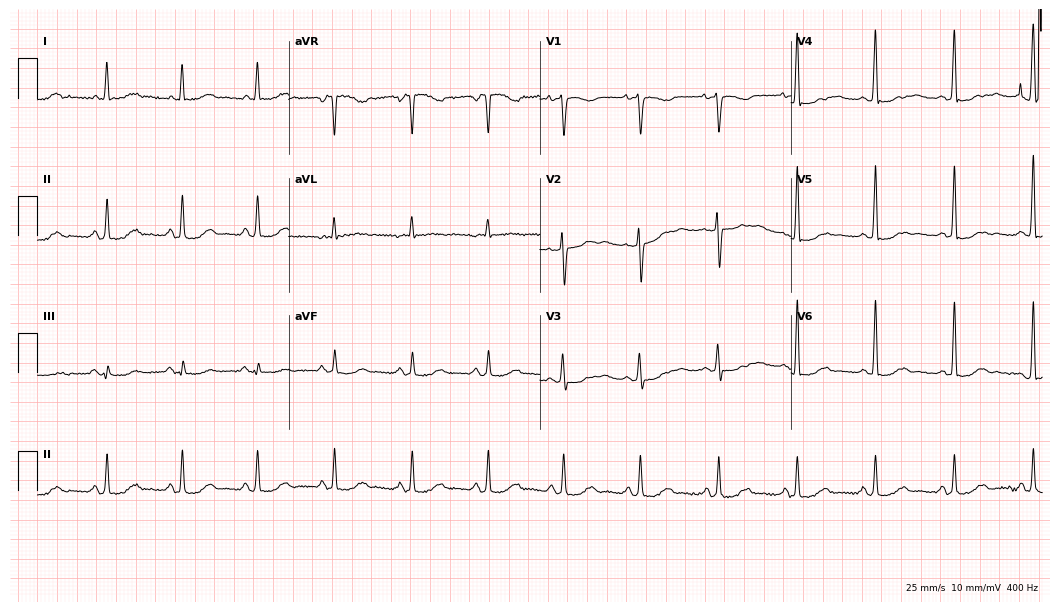
Electrocardiogram, a 66-year-old woman. Of the six screened findings (first-degree AV block, right bundle branch block (RBBB), left bundle branch block (LBBB), sinus bradycardia, atrial fibrillation (AF), sinus tachycardia), none is recorded. Only these six findings were labelled.